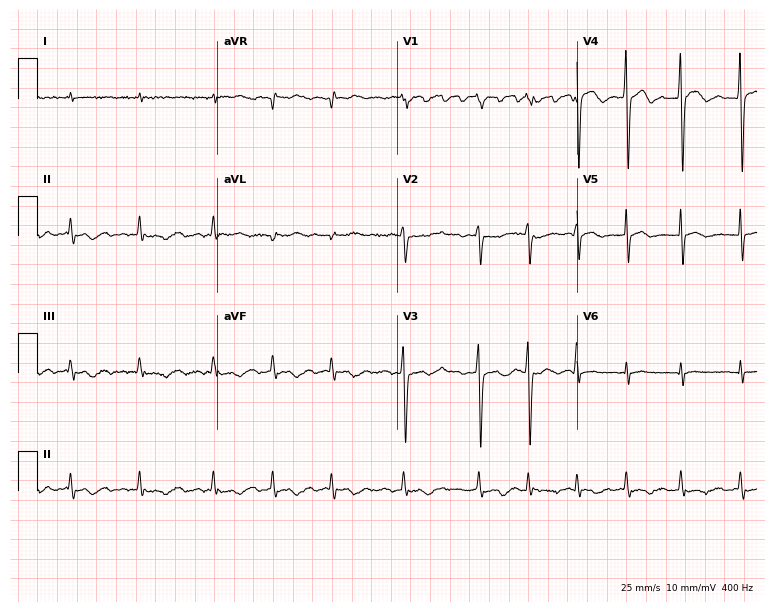
12-lead ECG from a 79-year-old male patient. Shows atrial fibrillation (AF).